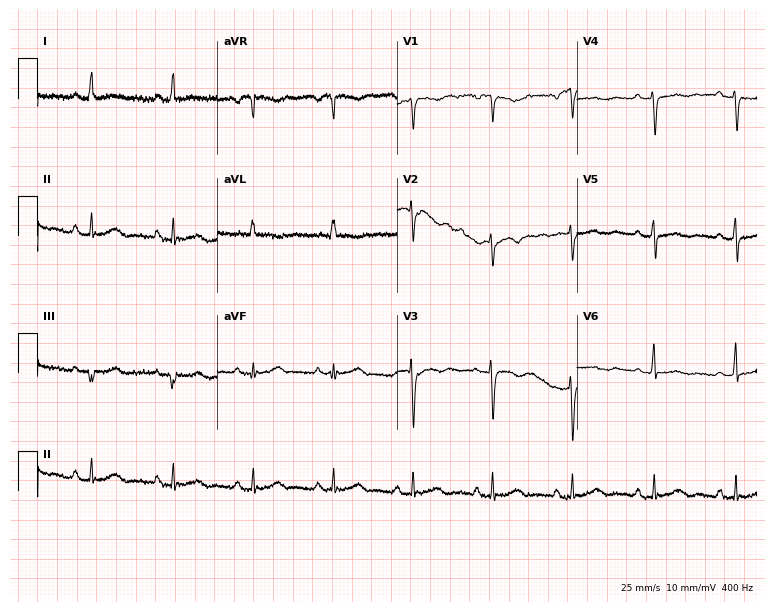
12-lead ECG from a woman, 70 years old (7.3-second recording at 400 Hz). No first-degree AV block, right bundle branch block, left bundle branch block, sinus bradycardia, atrial fibrillation or sinus tachycardia recorded for this tracing.